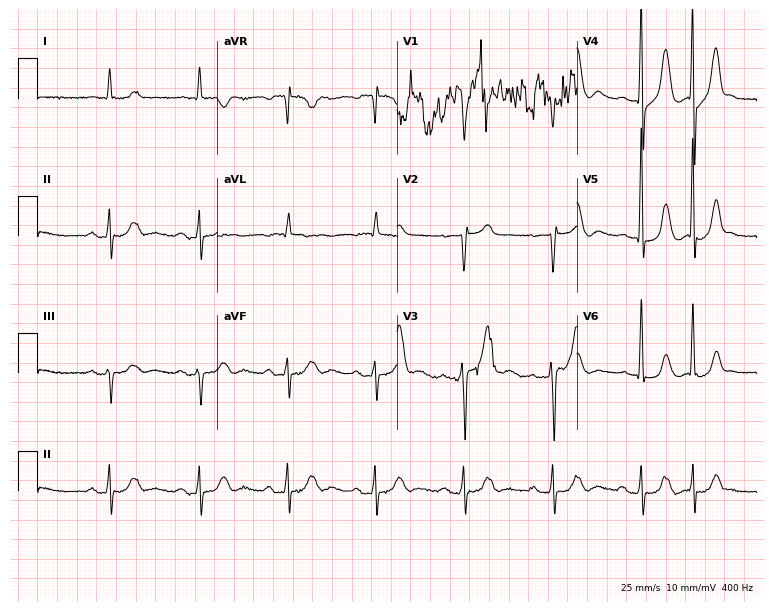
ECG (7.3-second recording at 400 Hz) — a 77-year-old female patient. Screened for six findings — first-degree AV block, right bundle branch block, left bundle branch block, sinus bradycardia, atrial fibrillation, sinus tachycardia — none is recorded. Findings outside these six are not listed.